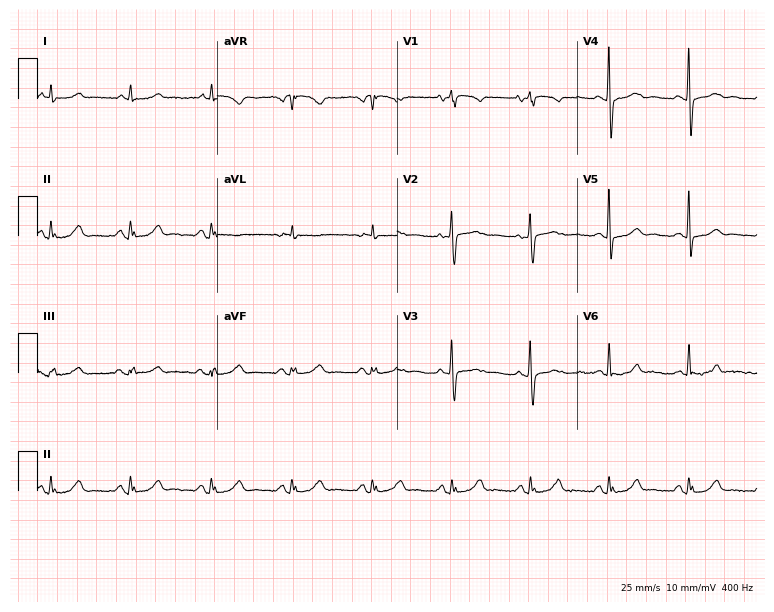
Standard 12-lead ECG recorded from a female patient, 61 years old (7.3-second recording at 400 Hz). Read as a normal ECG.